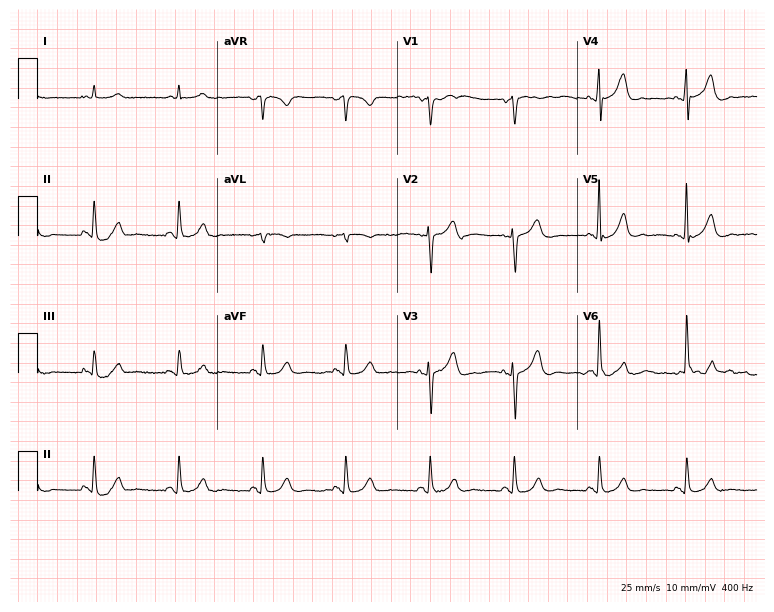
12-lead ECG from a male, 85 years old (7.3-second recording at 400 Hz). Recorded interpretation: within normal limits.